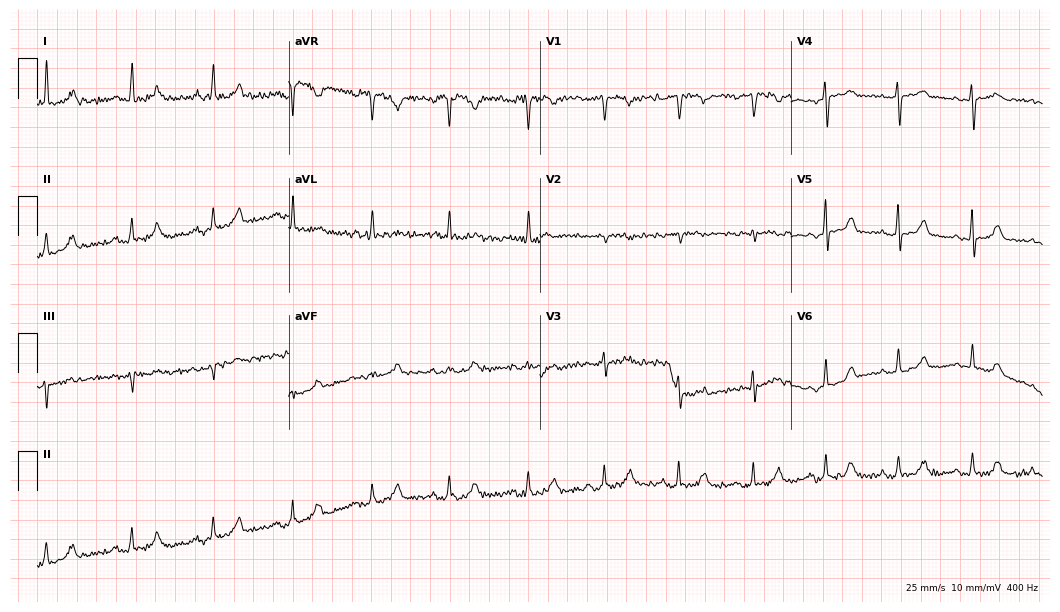
Electrocardiogram (10.2-second recording at 400 Hz), a woman, 73 years old. Of the six screened findings (first-degree AV block, right bundle branch block, left bundle branch block, sinus bradycardia, atrial fibrillation, sinus tachycardia), none is recorded. Other findings, if any, are not listed.